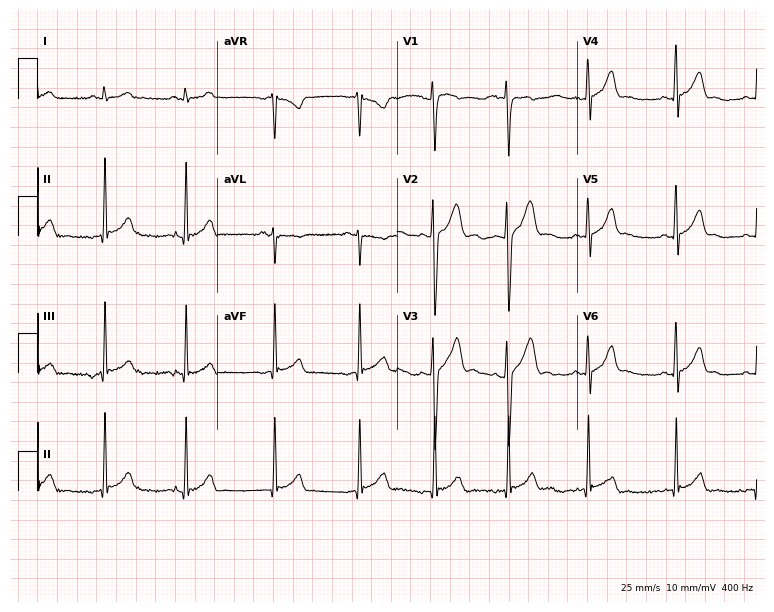
12-lead ECG (7.3-second recording at 400 Hz) from a 19-year-old male. Screened for six findings — first-degree AV block, right bundle branch block, left bundle branch block, sinus bradycardia, atrial fibrillation, sinus tachycardia — none is recorded.